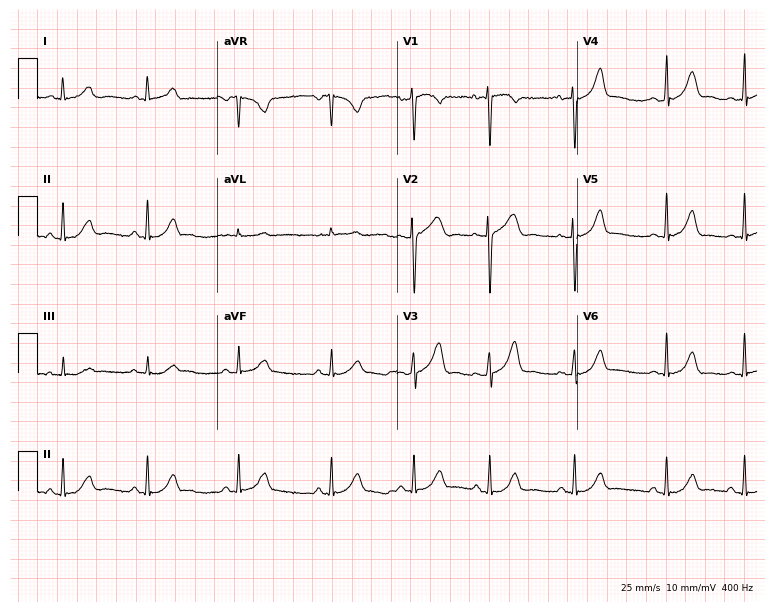
Standard 12-lead ECG recorded from a 24-year-old female. None of these six findings is recorded: first-degree AV block, right bundle branch block (RBBB), left bundle branch block (LBBB), sinus bradycardia, atrial fibrillation (AF), sinus tachycardia. Other findings, if any, are not listed.